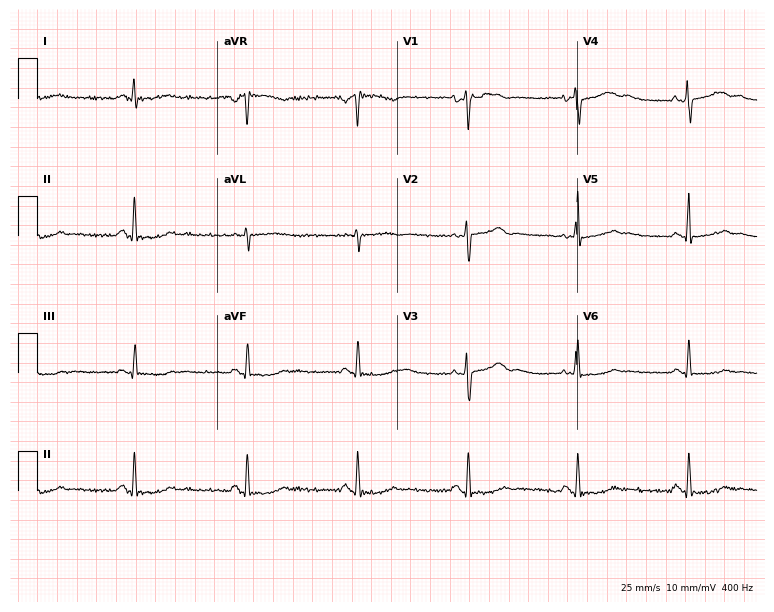
12-lead ECG (7.3-second recording at 400 Hz) from a 50-year-old female. Labelled as a normal ECG.